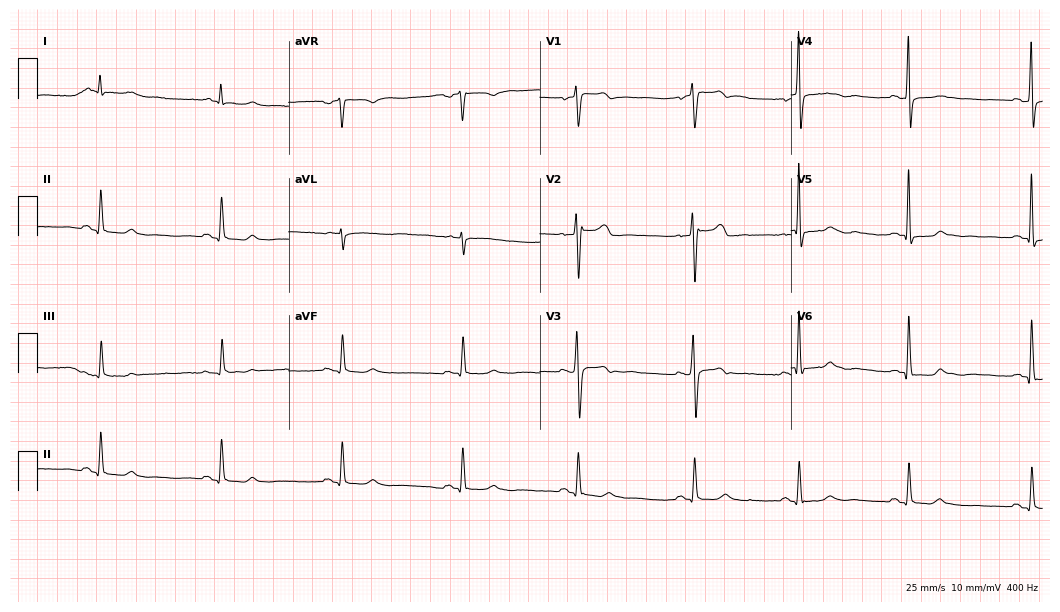
ECG (10.2-second recording at 400 Hz) — a man, 44 years old. Screened for six findings — first-degree AV block, right bundle branch block (RBBB), left bundle branch block (LBBB), sinus bradycardia, atrial fibrillation (AF), sinus tachycardia — none is recorded. Only these six findings were labelled.